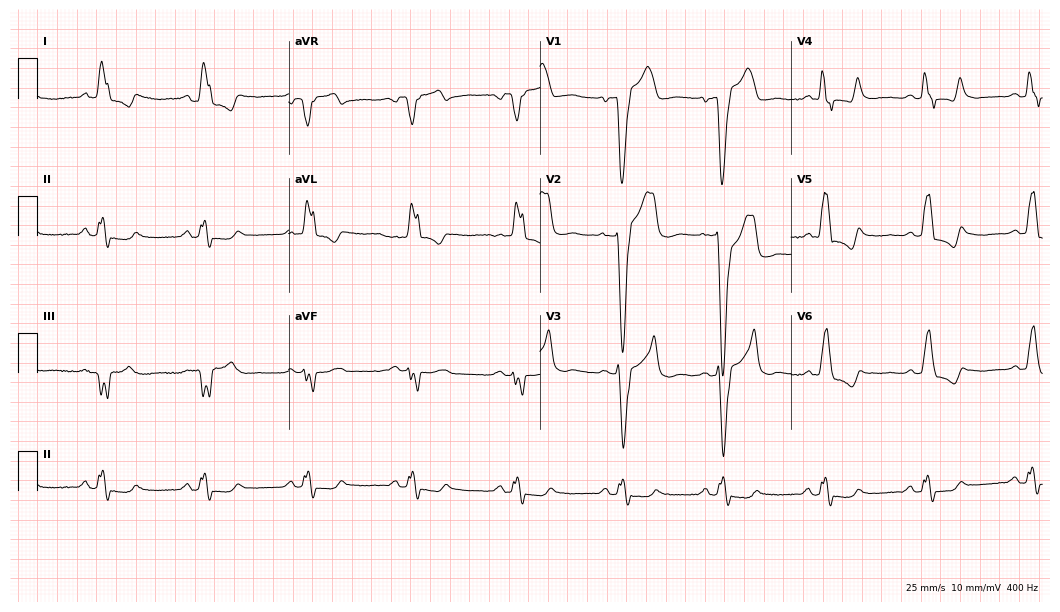
Electrocardiogram (10.2-second recording at 400 Hz), a 74-year-old man. Interpretation includes left bundle branch block.